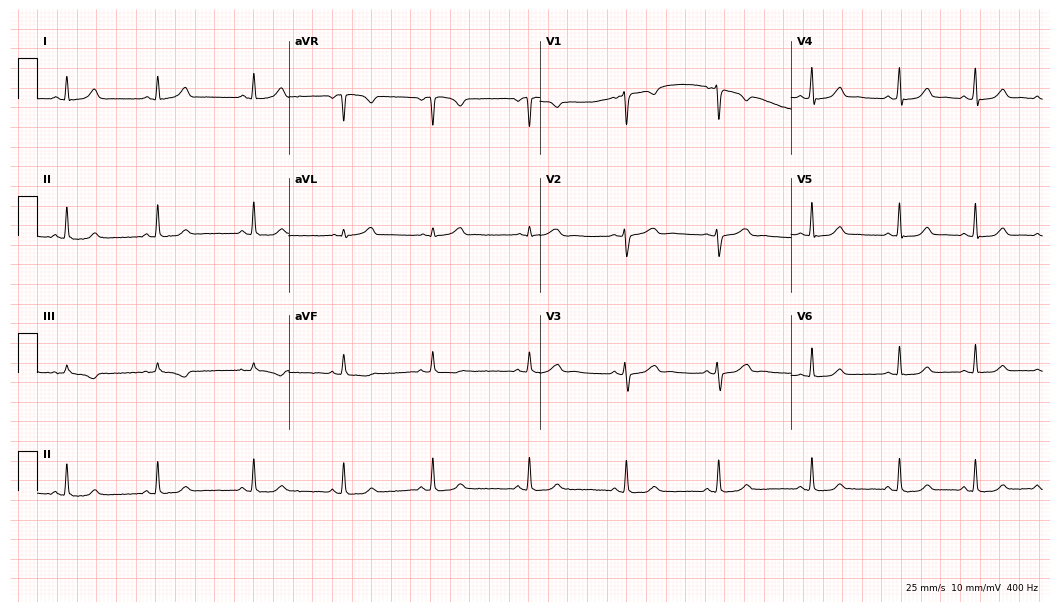
Electrocardiogram (10.2-second recording at 400 Hz), a 29-year-old female patient. Overall reading on record: normal ECG.